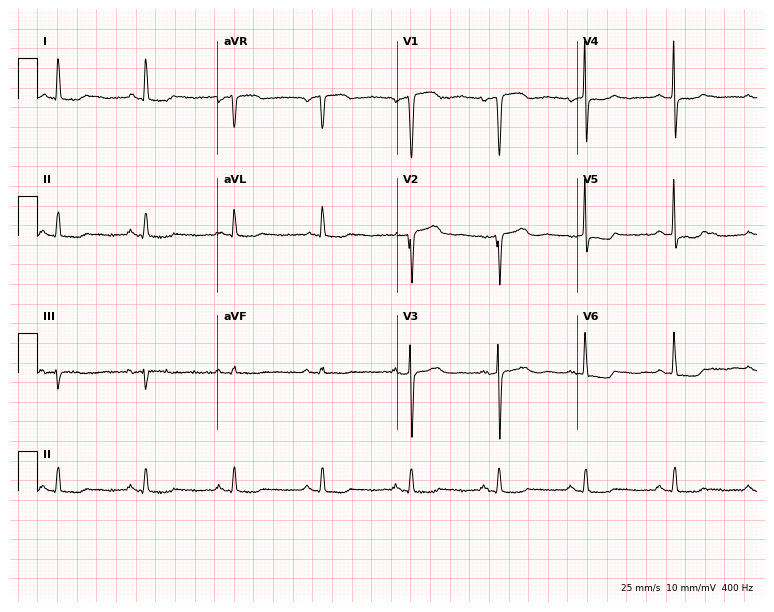
ECG (7.3-second recording at 400 Hz) — a female patient, 76 years old. Screened for six findings — first-degree AV block, right bundle branch block (RBBB), left bundle branch block (LBBB), sinus bradycardia, atrial fibrillation (AF), sinus tachycardia — none is recorded.